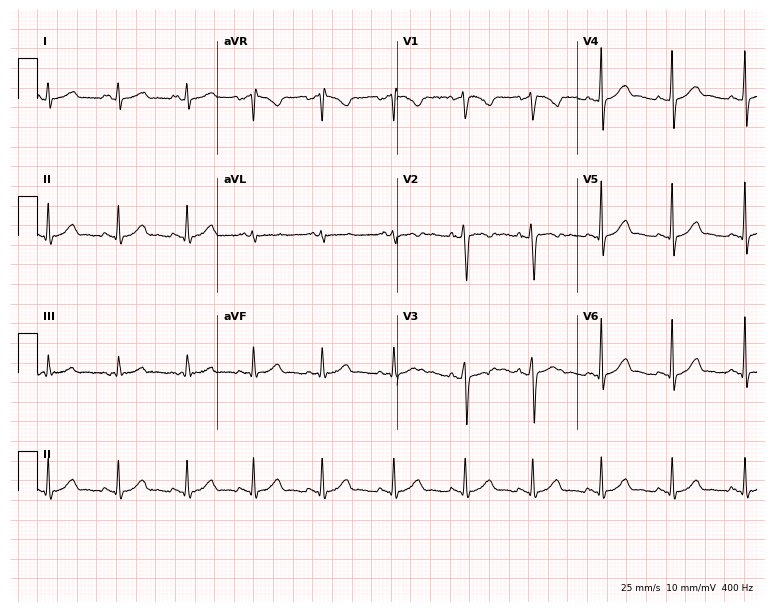
Resting 12-lead electrocardiogram (7.3-second recording at 400 Hz). Patient: a 31-year-old female. None of these six findings is recorded: first-degree AV block, right bundle branch block, left bundle branch block, sinus bradycardia, atrial fibrillation, sinus tachycardia.